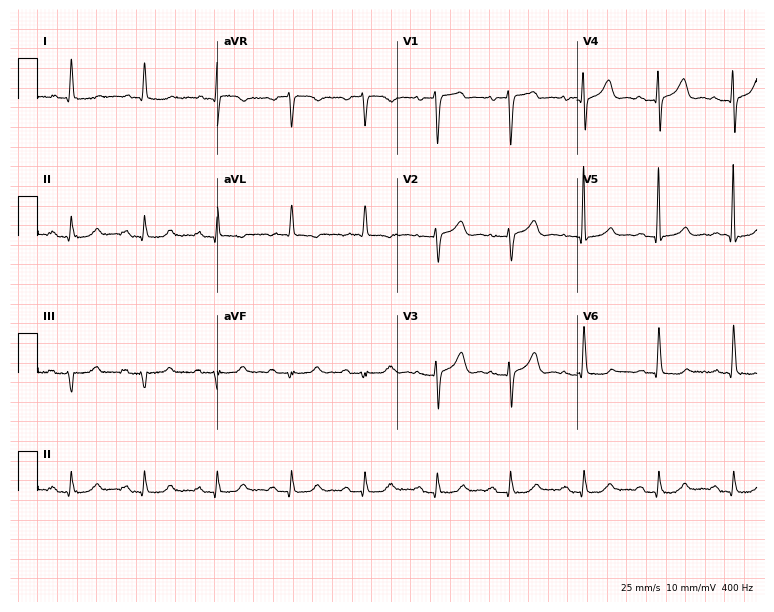
Standard 12-lead ECG recorded from a 71-year-old female. Read as a normal ECG.